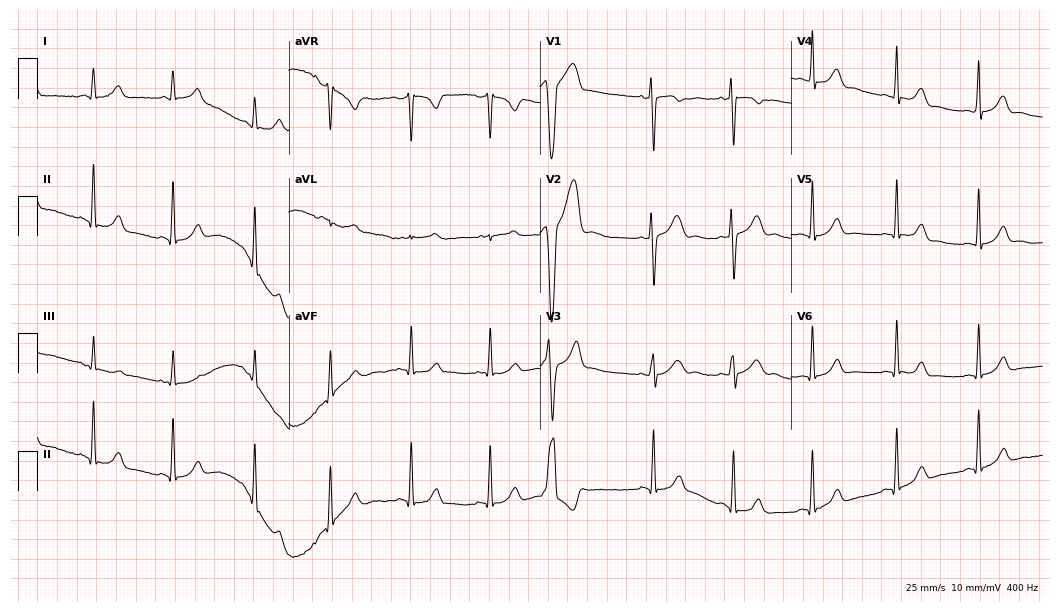
Electrocardiogram (10.2-second recording at 400 Hz), a 23-year-old woman. Of the six screened findings (first-degree AV block, right bundle branch block (RBBB), left bundle branch block (LBBB), sinus bradycardia, atrial fibrillation (AF), sinus tachycardia), none is recorded. Only these six findings were labelled.